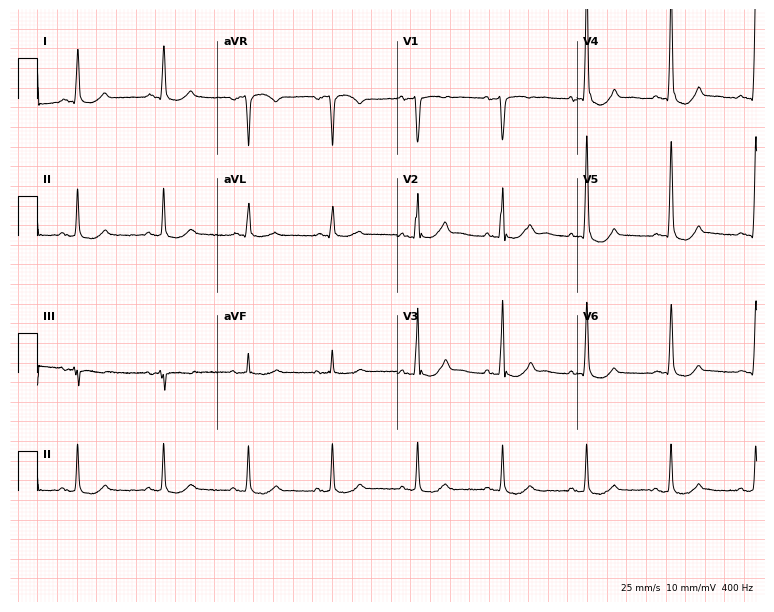
12-lead ECG from an 84-year-old woman. Screened for six findings — first-degree AV block, right bundle branch block, left bundle branch block, sinus bradycardia, atrial fibrillation, sinus tachycardia — none is recorded. Only these six findings were labelled.